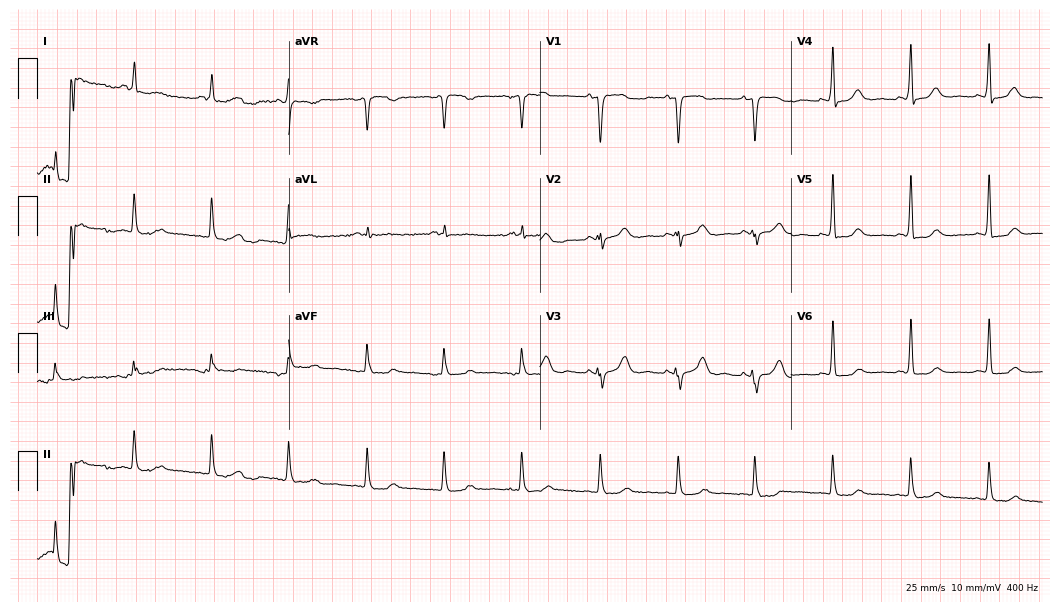
12-lead ECG (10.2-second recording at 400 Hz) from a female, 83 years old. Screened for six findings — first-degree AV block, right bundle branch block (RBBB), left bundle branch block (LBBB), sinus bradycardia, atrial fibrillation (AF), sinus tachycardia — none is recorded.